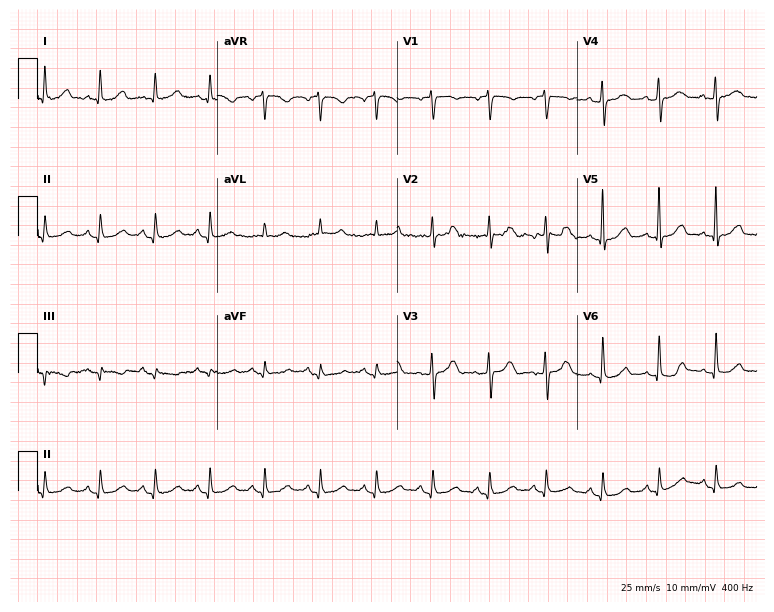
ECG — a 71-year-old female patient. Findings include sinus tachycardia (a sinus rate of 100 beats per minute or more).